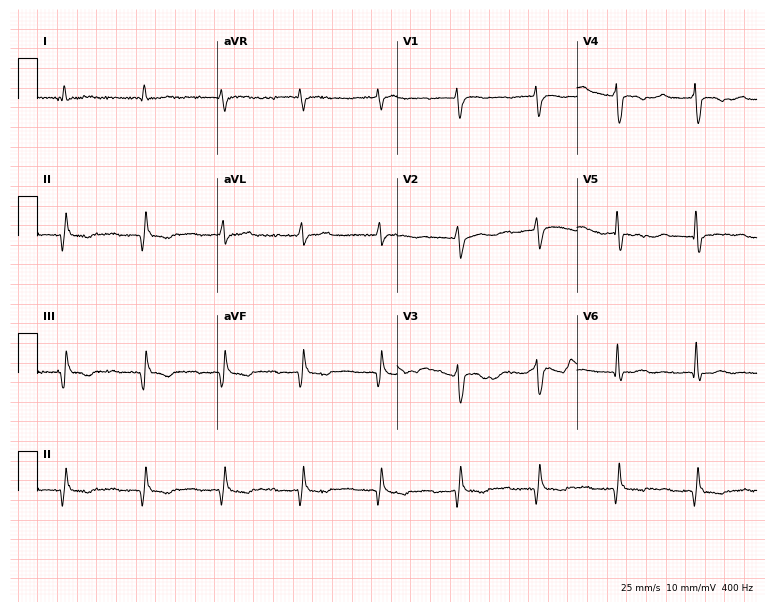
Resting 12-lead electrocardiogram. Patient: a 77-year-old woman. None of these six findings is recorded: first-degree AV block, right bundle branch block, left bundle branch block, sinus bradycardia, atrial fibrillation, sinus tachycardia.